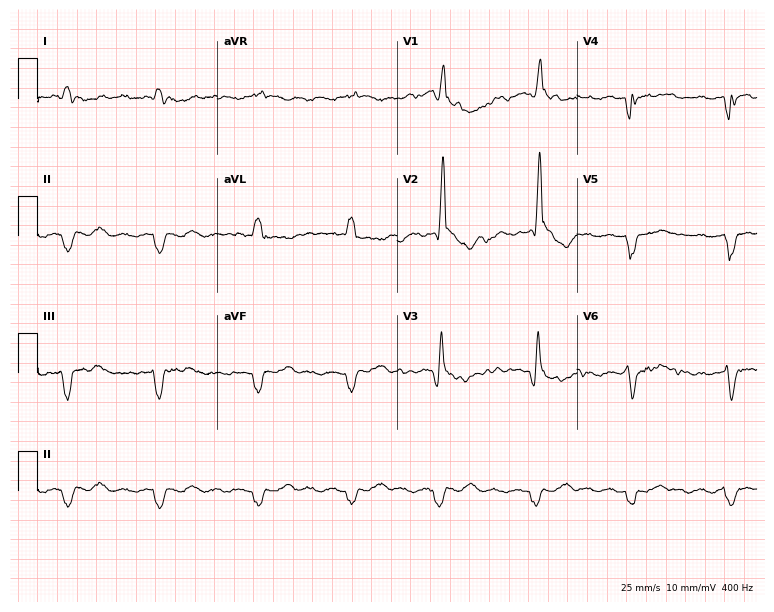
Electrocardiogram (7.3-second recording at 400 Hz), a male, 79 years old. Of the six screened findings (first-degree AV block, right bundle branch block (RBBB), left bundle branch block (LBBB), sinus bradycardia, atrial fibrillation (AF), sinus tachycardia), none is recorded. Findings outside these six are not listed.